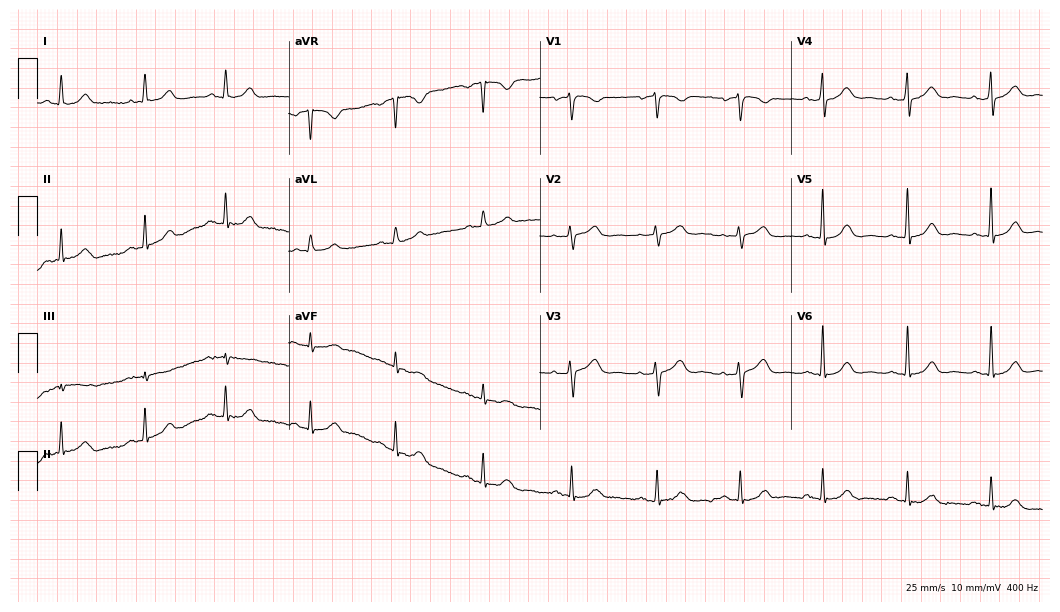
12-lead ECG from a female patient, 62 years old. Labelled as a normal ECG.